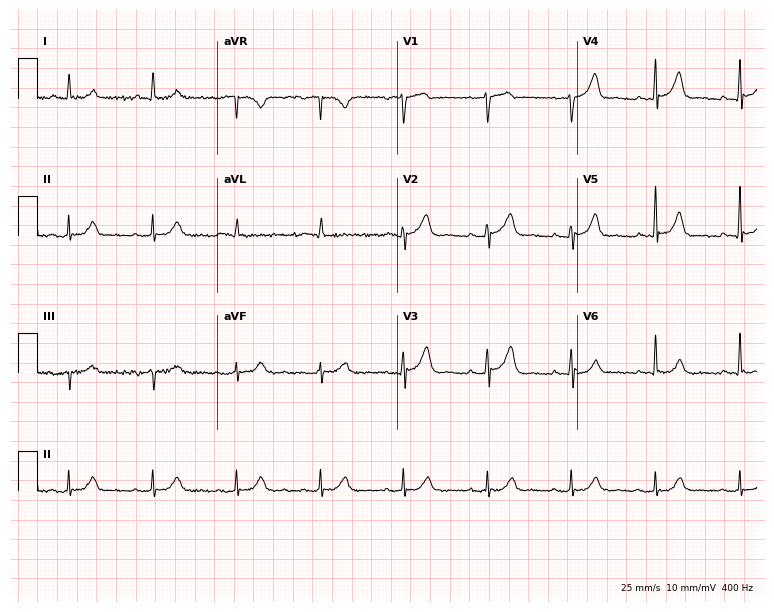
Resting 12-lead electrocardiogram (7.3-second recording at 400 Hz). Patient: a male, 79 years old. None of these six findings is recorded: first-degree AV block, right bundle branch block (RBBB), left bundle branch block (LBBB), sinus bradycardia, atrial fibrillation (AF), sinus tachycardia.